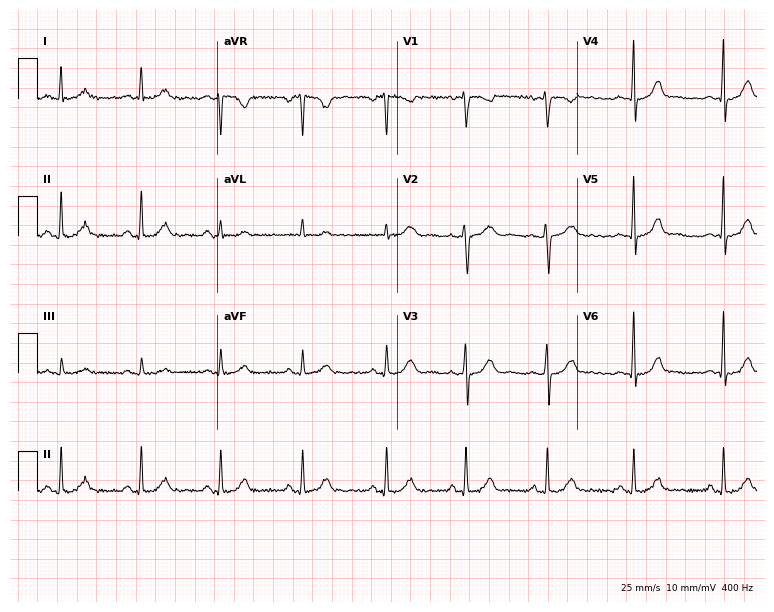
ECG (7.3-second recording at 400 Hz) — a woman, 27 years old. Screened for six findings — first-degree AV block, right bundle branch block, left bundle branch block, sinus bradycardia, atrial fibrillation, sinus tachycardia — none is recorded.